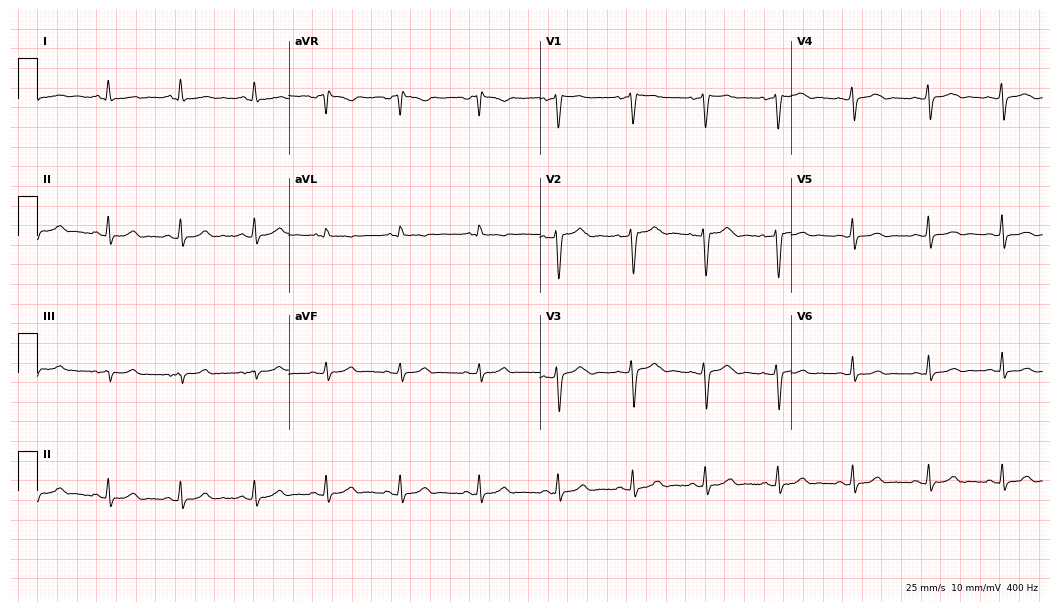
Electrocardiogram, a female patient, 38 years old. Overall reading on record: normal ECG.